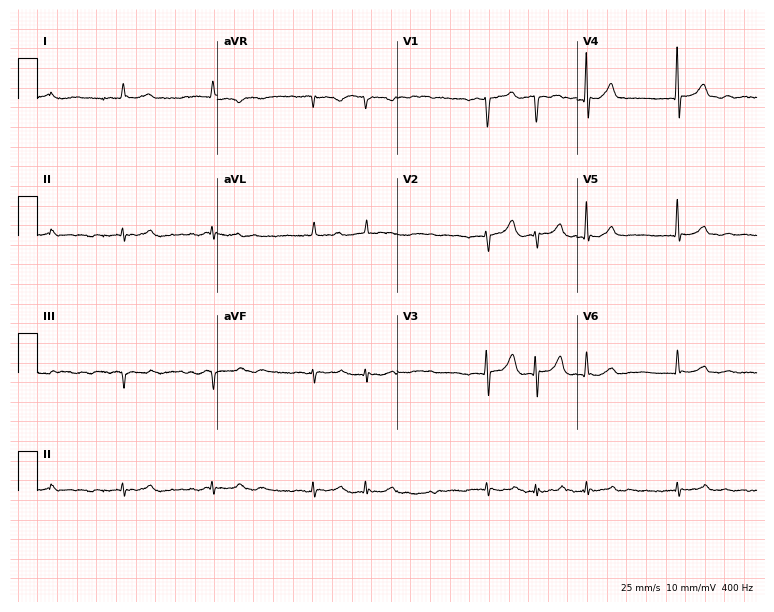
12-lead ECG from a man, 82 years old. Screened for six findings — first-degree AV block, right bundle branch block (RBBB), left bundle branch block (LBBB), sinus bradycardia, atrial fibrillation (AF), sinus tachycardia — none is recorded. Other findings, if any, are not listed.